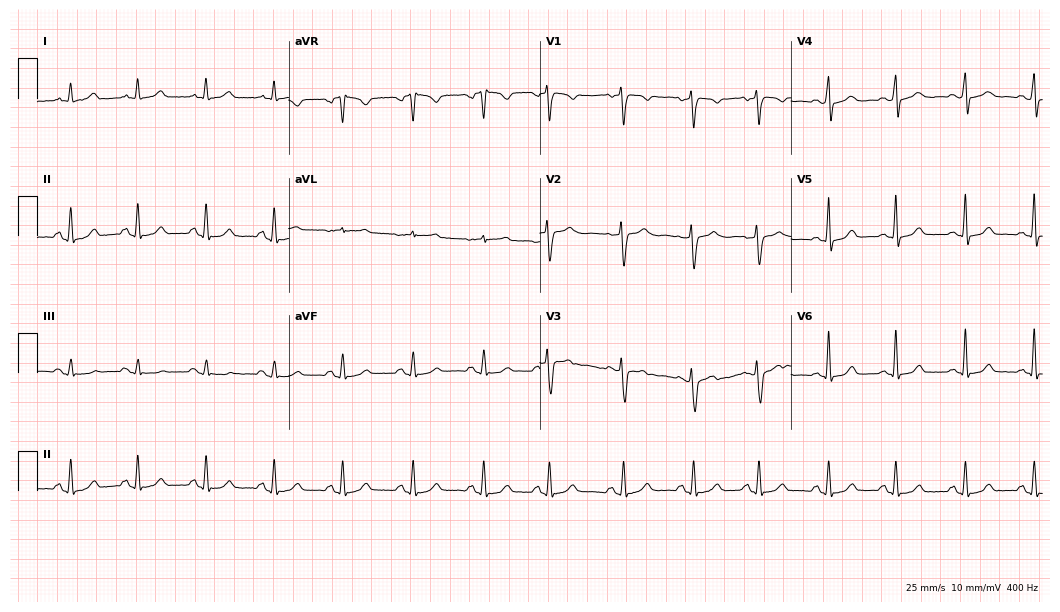
ECG (10.2-second recording at 400 Hz) — a 39-year-old female. Labelled as a normal ECG.